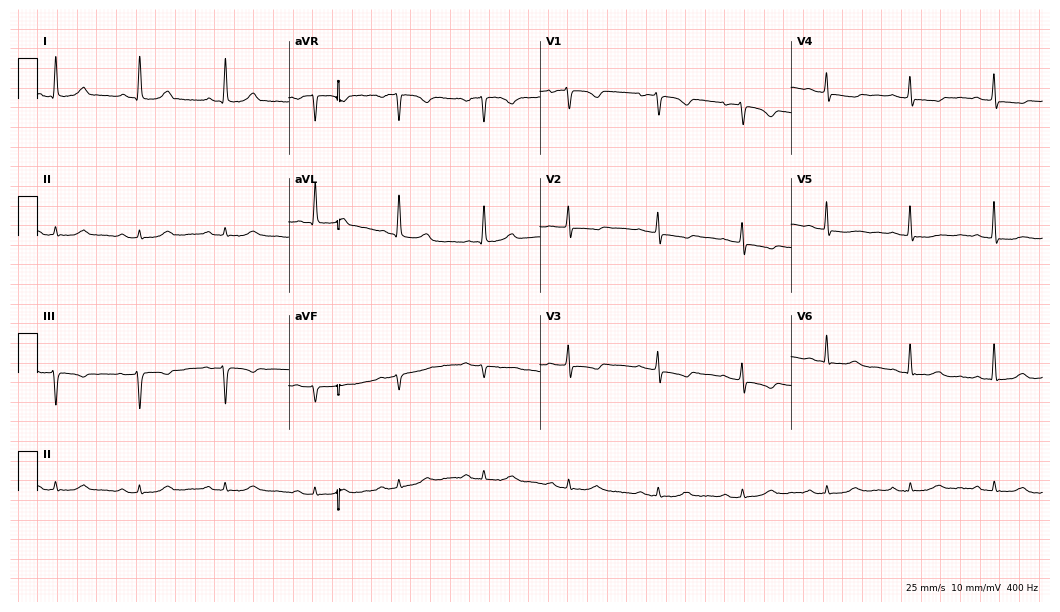
Resting 12-lead electrocardiogram. Patient: a 68-year-old woman. None of these six findings is recorded: first-degree AV block, right bundle branch block, left bundle branch block, sinus bradycardia, atrial fibrillation, sinus tachycardia.